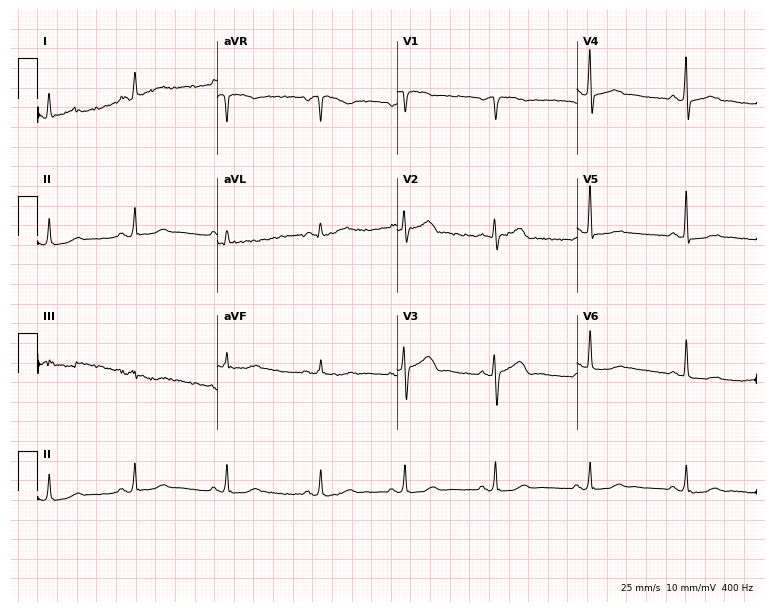
12-lead ECG (7.3-second recording at 400 Hz) from a 48-year-old female patient. Screened for six findings — first-degree AV block, right bundle branch block, left bundle branch block, sinus bradycardia, atrial fibrillation, sinus tachycardia — none is recorded.